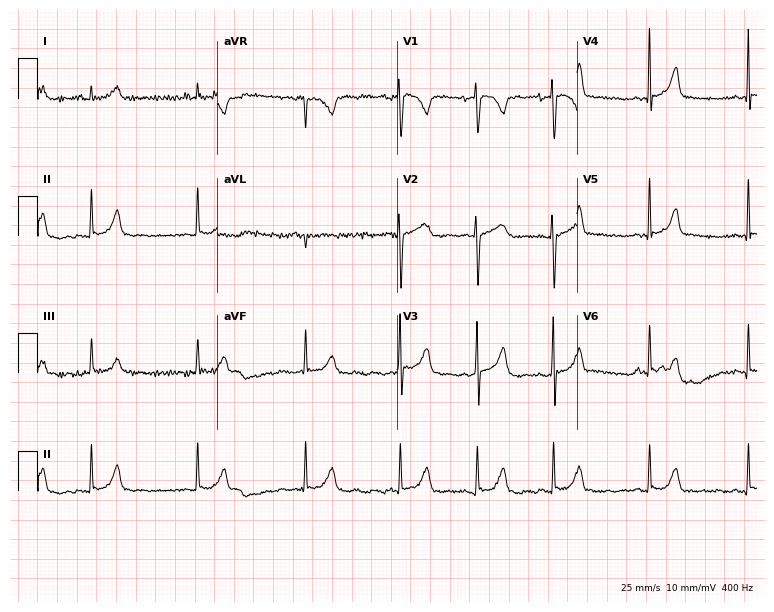
12-lead ECG from a 30-year-old woman. Labelled as a normal ECG.